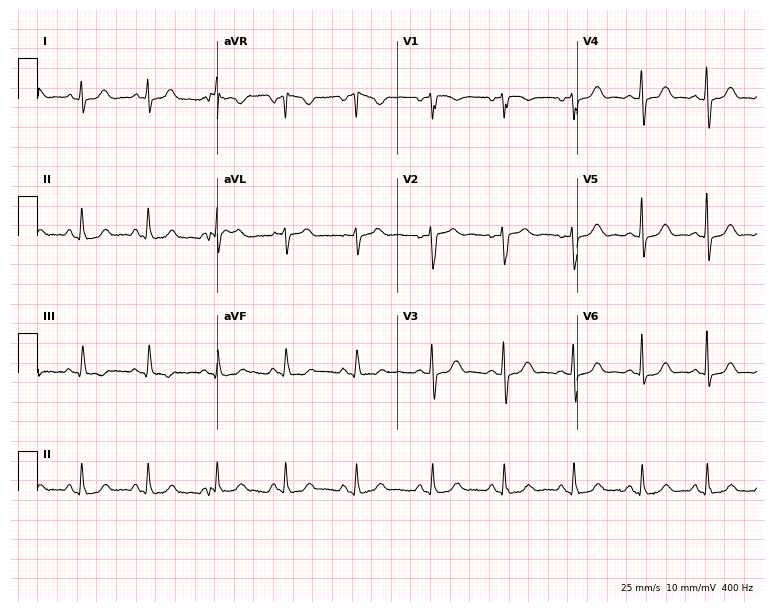
12-lead ECG from a woman, 32 years old. Recorded interpretation: within normal limits.